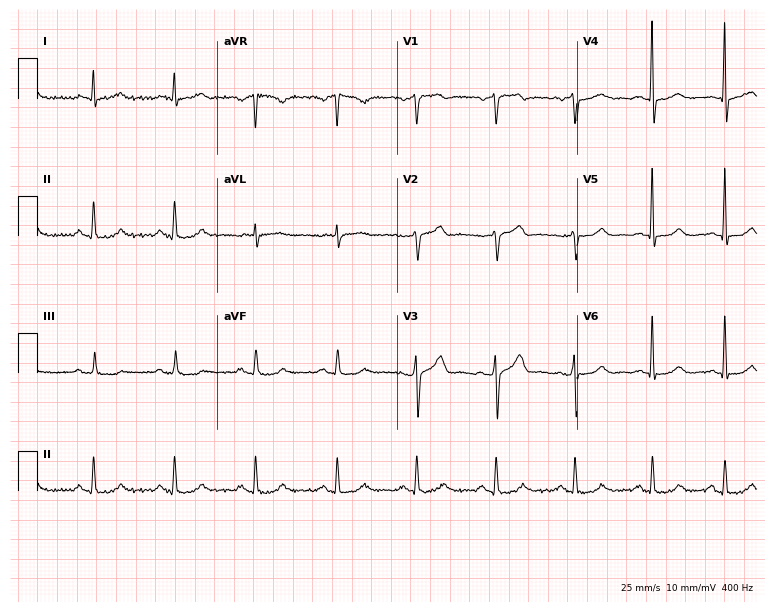
ECG (7.3-second recording at 400 Hz) — a 62-year-old male. Labelled as a normal ECG.